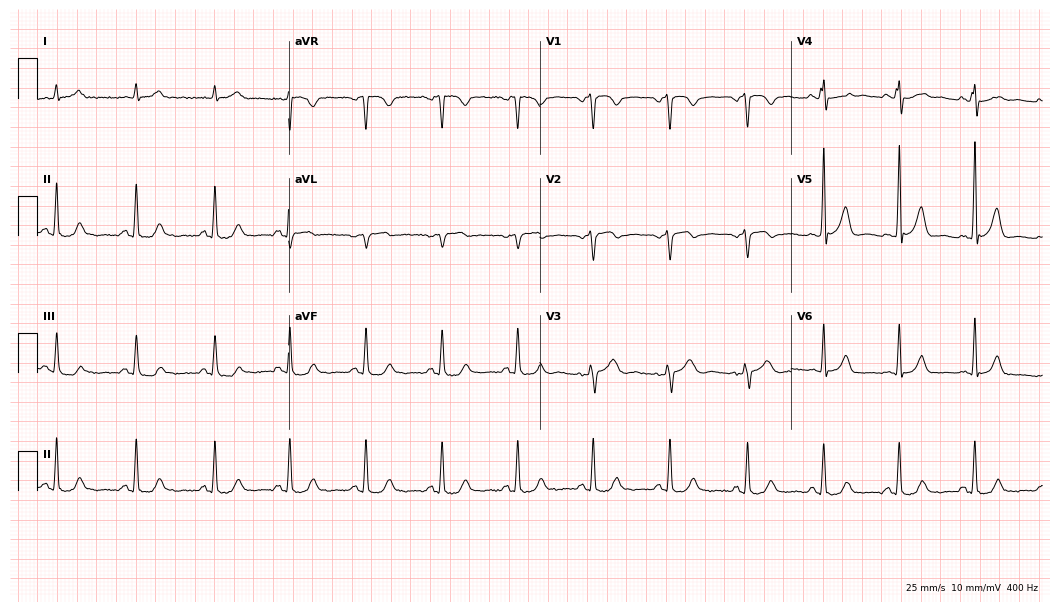
Standard 12-lead ECG recorded from a 65-year-old male (10.2-second recording at 400 Hz). None of these six findings is recorded: first-degree AV block, right bundle branch block, left bundle branch block, sinus bradycardia, atrial fibrillation, sinus tachycardia. Only these six findings were labelled.